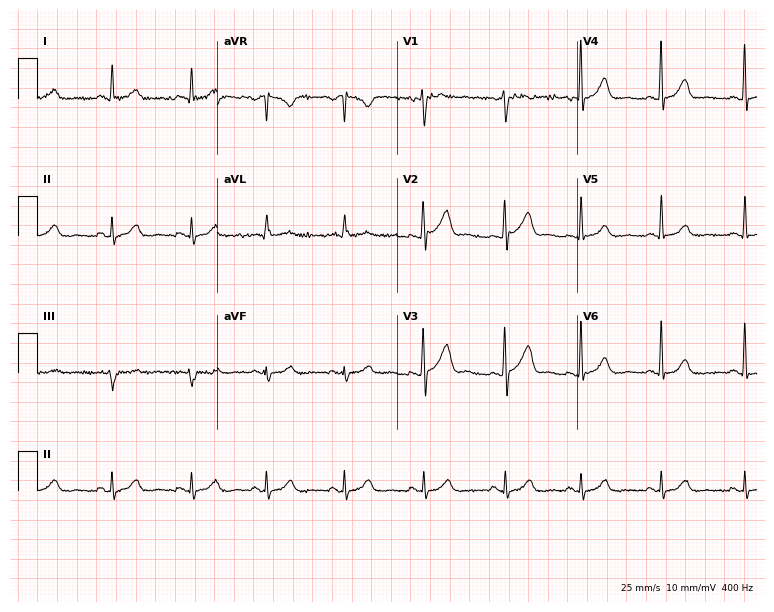
Resting 12-lead electrocardiogram (7.3-second recording at 400 Hz). Patient: a 25-year-old male. None of these six findings is recorded: first-degree AV block, right bundle branch block, left bundle branch block, sinus bradycardia, atrial fibrillation, sinus tachycardia. Only these six findings were labelled.